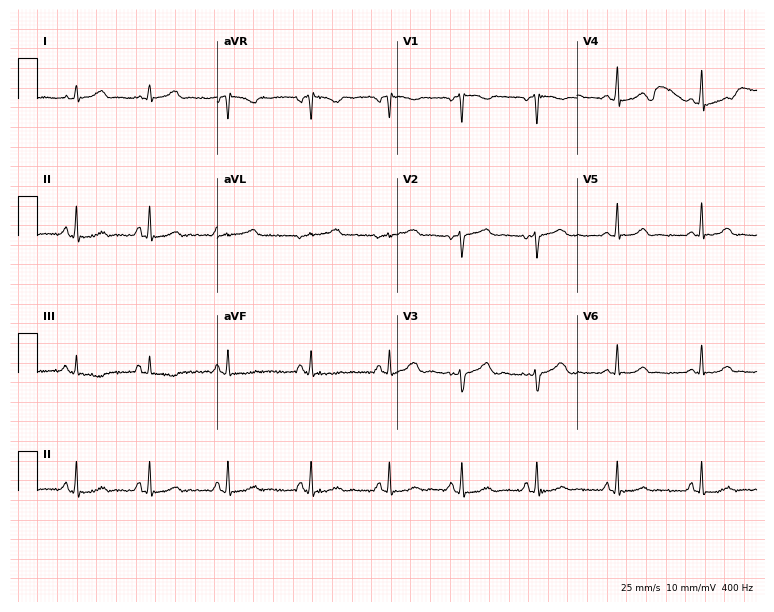
Electrocardiogram (7.3-second recording at 400 Hz), a female, 29 years old. Of the six screened findings (first-degree AV block, right bundle branch block, left bundle branch block, sinus bradycardia, atrial fibrillation, sinus tachycardia), none is recorded.